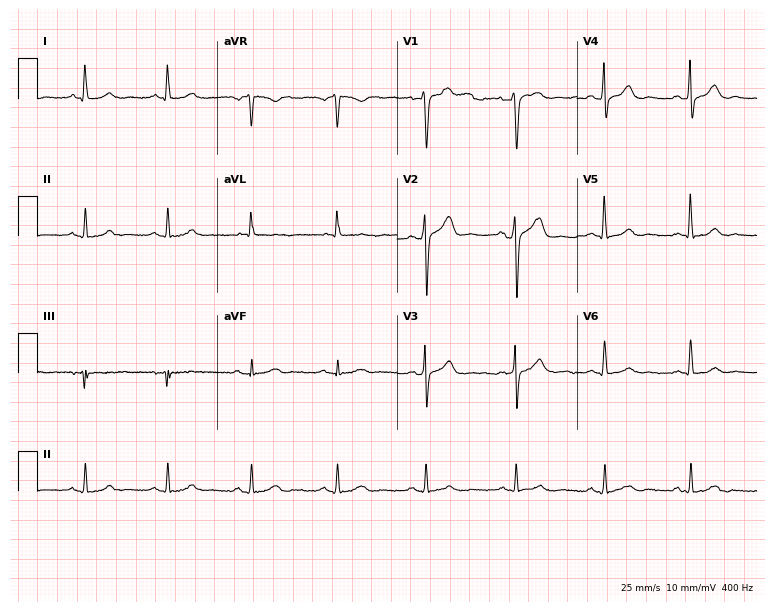
12-lead ECG (7.3-second recording at 400 Hz) from a 48-year-old male patient. Labelled as a normal ECG.